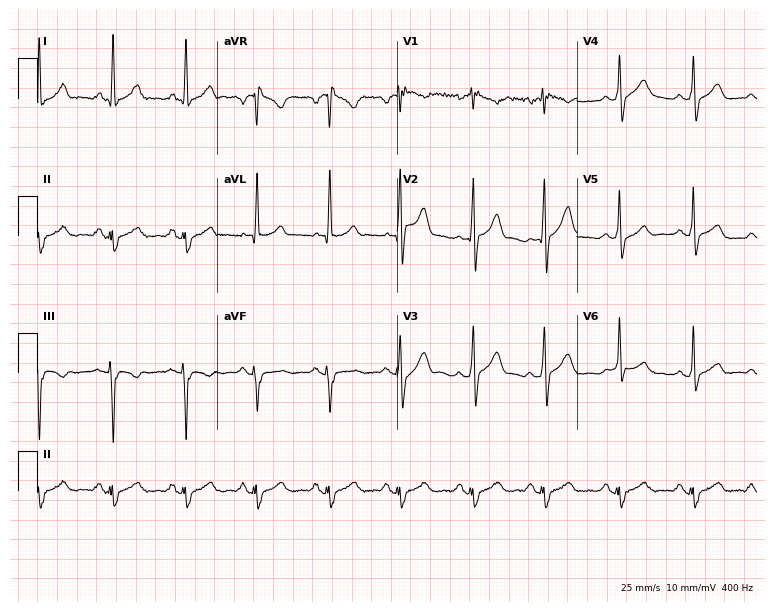
Electrocardiogram (7.3-second recording at 400 Hz), a male patient, 41 years old. Of the six screened findings (first-degree AV block, right bundle branch block, left bundle branch block, sinus bradycardia, atrial fibrillation, sinus tachycardia), none is recorded.